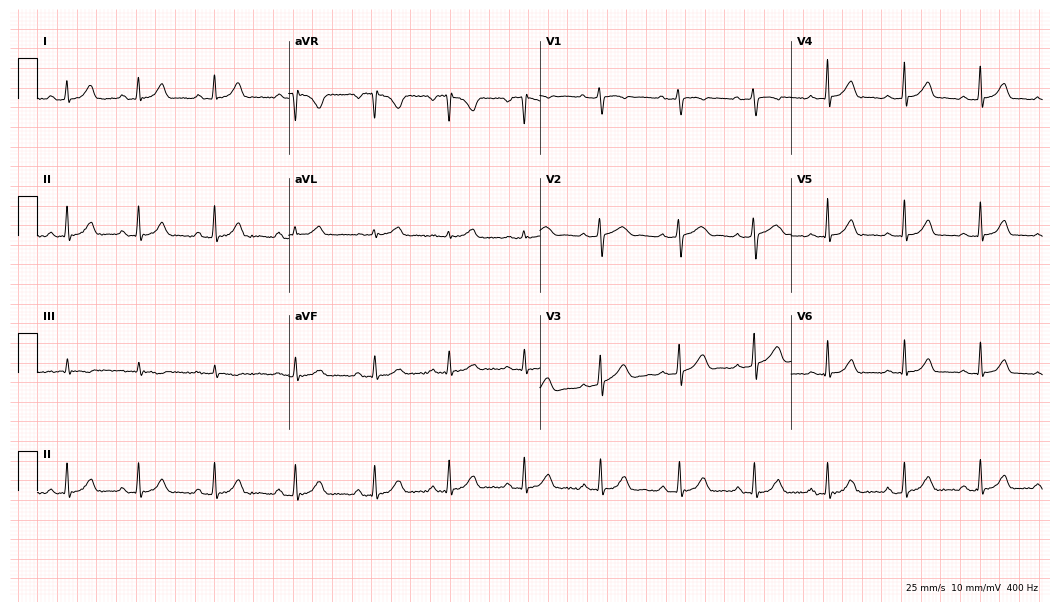
Standard 12-lead ECG recorded from a female patient, 28 years old. Read as a normal ECG.